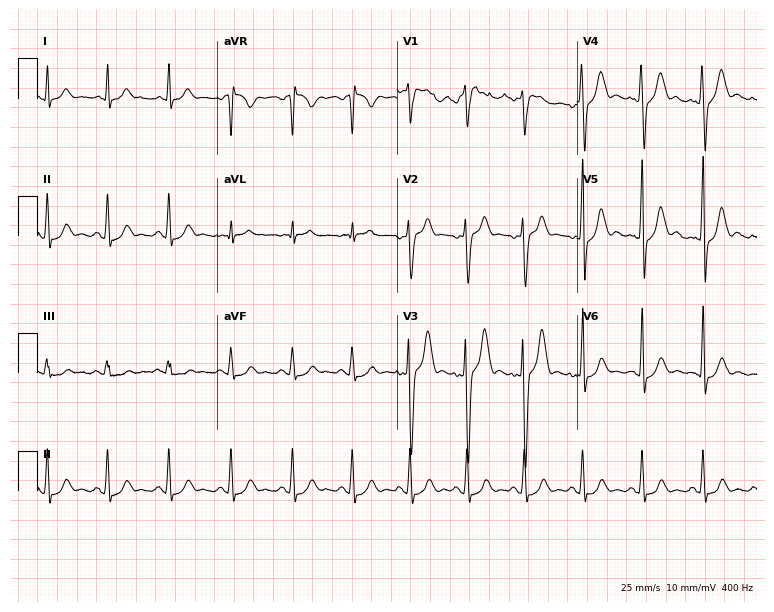
12-lead ECG from a 42-year-old male patient (7.3-second recording at 400 Hz). No first-degree AV block, right bundle branch block, left bundle branch block, sinus bradycardia, atrial fibrillation or sinus tachycardia recorded for this tracing. Other findings, if any, are not listed.